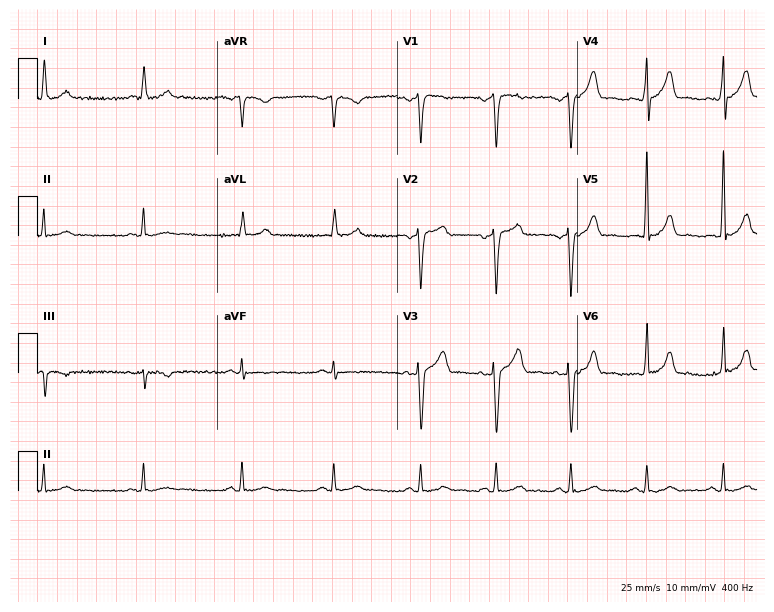
12-lead ECG from a male, 59 years old (7.3-second recording at 400 Hz). Recorded interpretation: within normal limits.